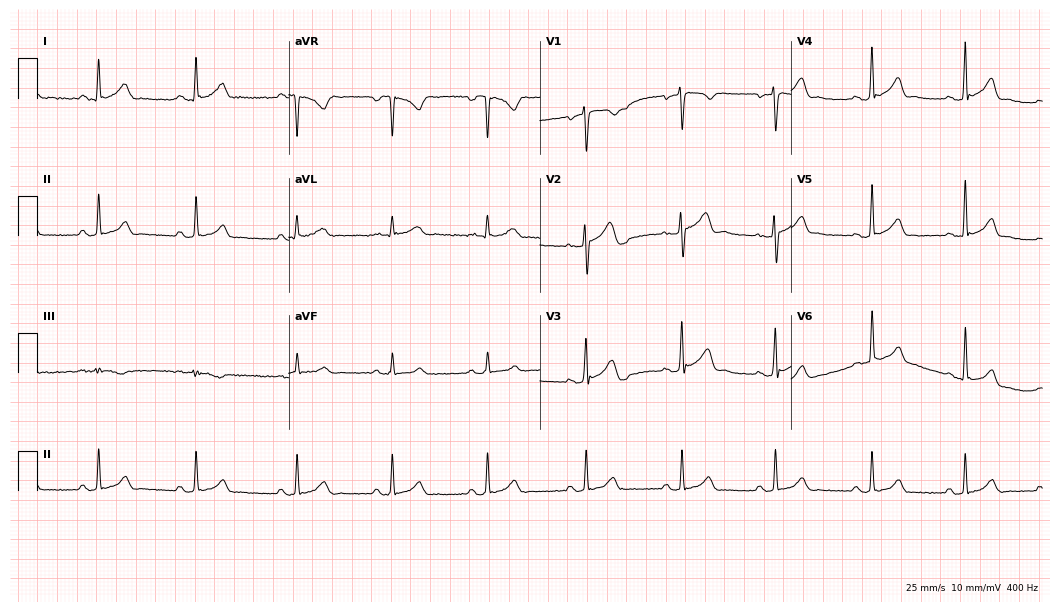
Standard 12-lead ECG recorded from a 35-year-old female (10.2-second recording at 400 Hz). Read as a normal ECG.